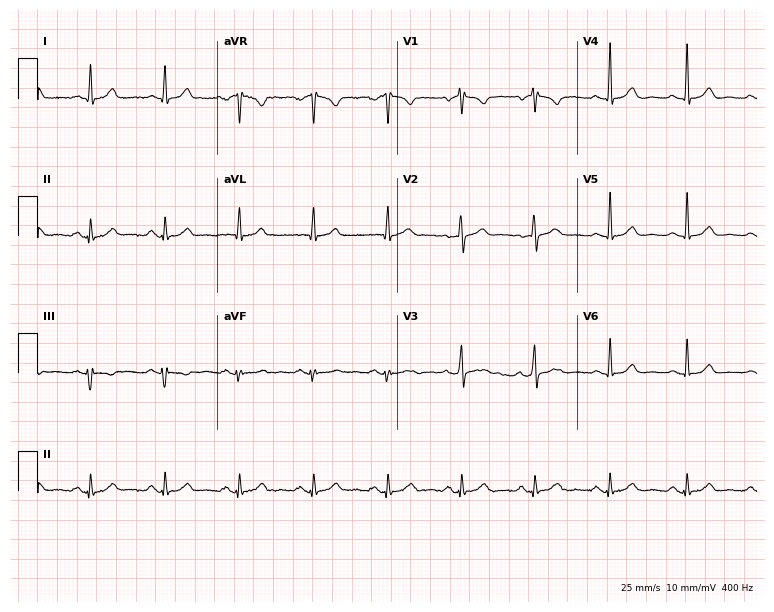
ECG (7.3-second recording at 400 Hz) — a female patient, 55 years old. Screened for six findings — first-degree AV block, right bundle branch block, left bundle branch block, sinus bradycardia, atrial fibrillation, sinus tachycardia — none is recorded. Only these six findings were labelled.